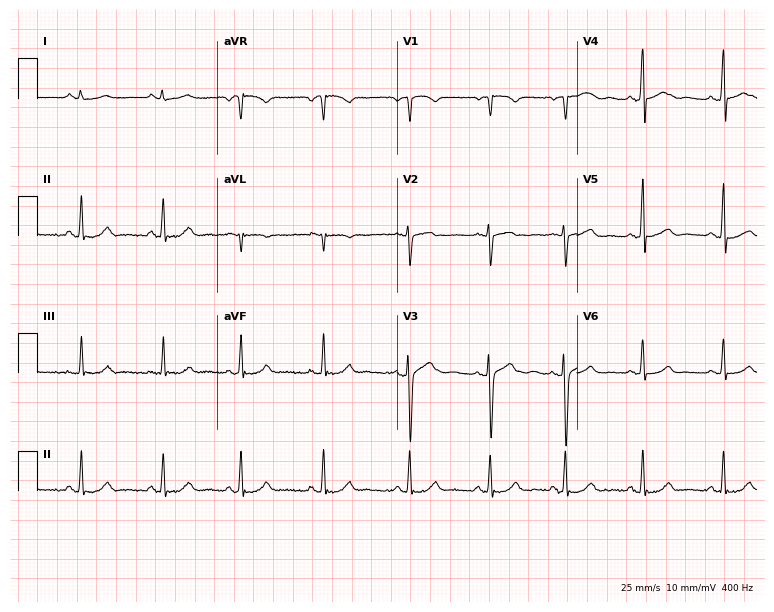
Electrocardiogram (7.3-second recording at 400 Hz), an 18-year-old woman. Overall reading on record: normal ECG.